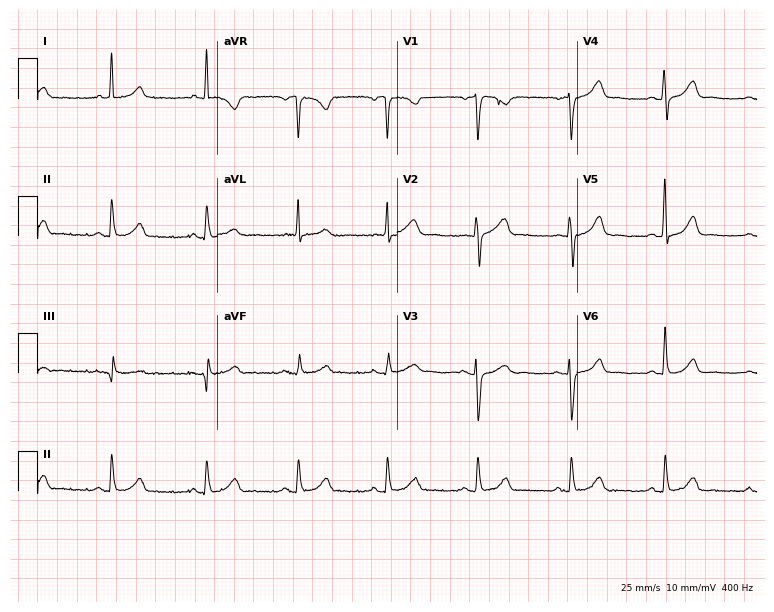
Electrocardiogram, a female, 63 years old. Overall reading on record: normal ECG.